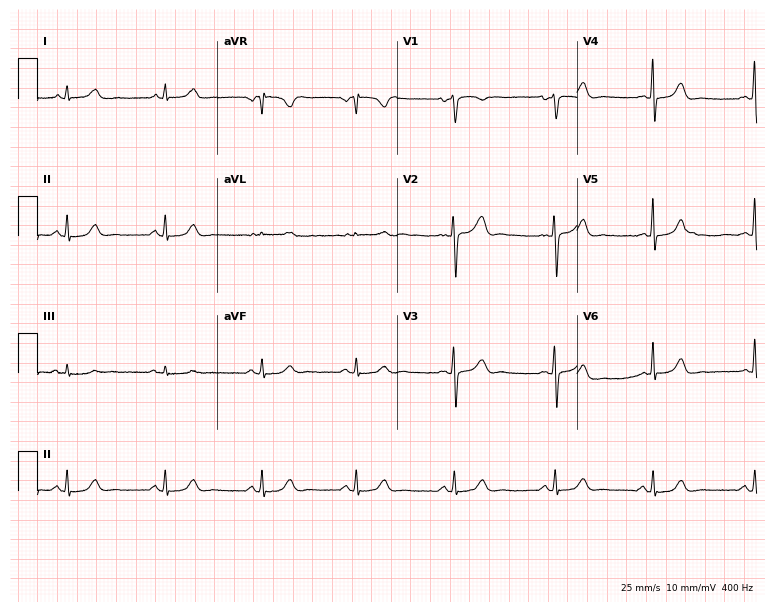
ECG — a 43-year-old woman. Labelled as a normal ECG.